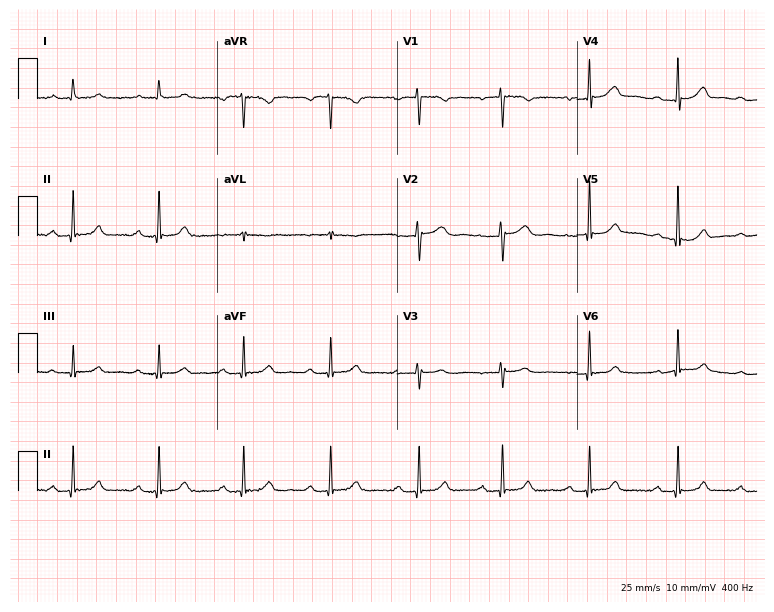
12-lead ECG from a 38-year-old woman. Findings include first-degree AV block.